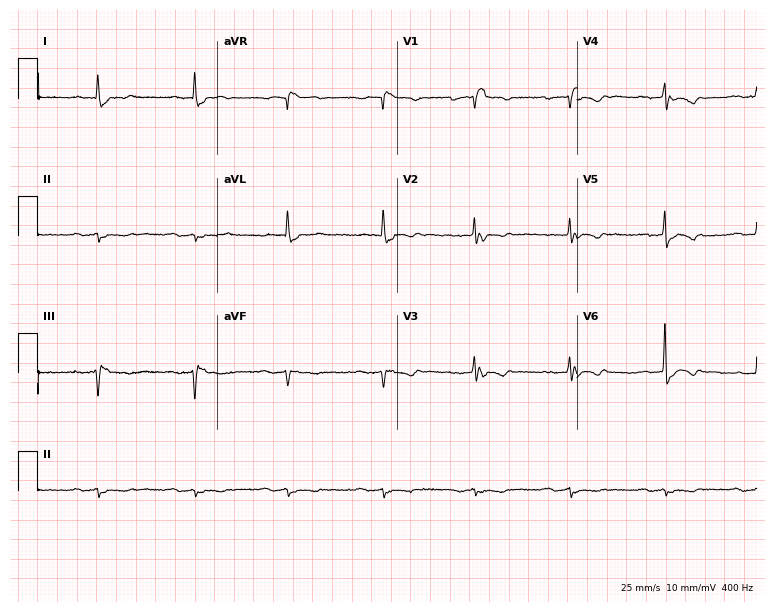
Standard 12-lead ECG recorded from a female patient, 79 years old (7.3-second recording at 400 Hz). The tracing shows first-degree AV block, right bundle branch block (RBBB).